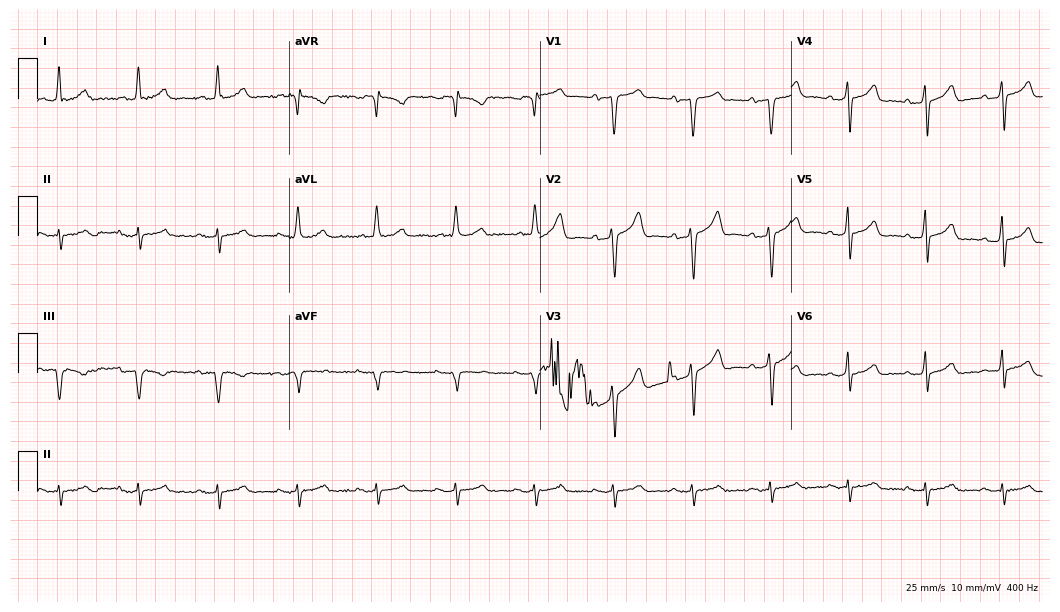
Resting 12-lead electrocardiogram (10.2-second recording at 400 Hz). Patient: a 66-year-old male. None of these six findings is recorded: first-degree AV block, right bundle branch block, left bundle branch block, sinus bradycardia, atrial fibrillation, sinus tachycardia. Other findings, if any, are not listed.